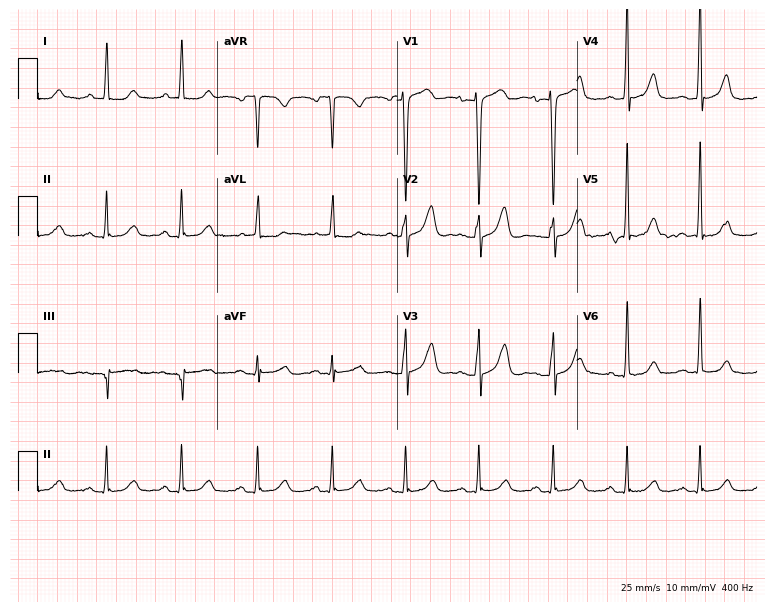
12-lead ECG (7.3-second recording at 400 Hz) from a 42-year-old female patient. Labelled as a normal ECG.